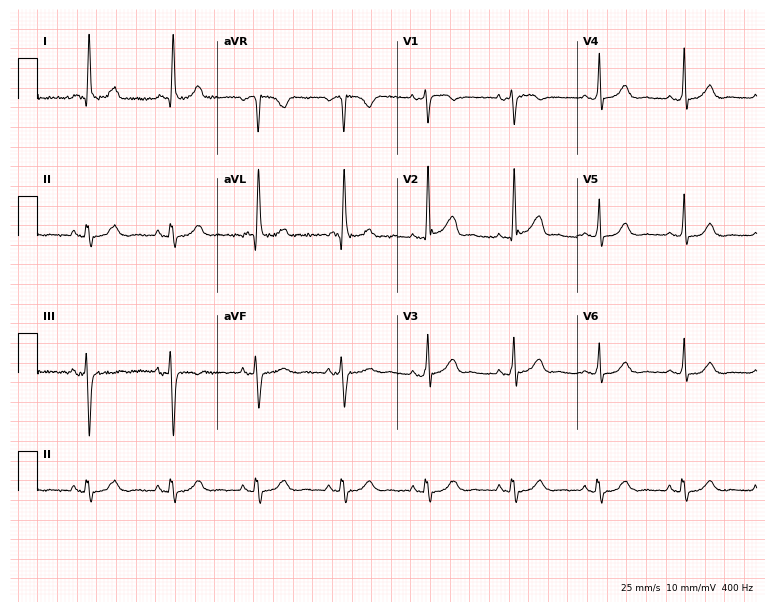
Electrocardiogram, a female patient, 80 years old. Of the six screened findings (first-degree AV block, right bundle branch block, left bundle branch block, sinus bradycardia, atrial fibrillation, sinus tachycardia), none is recorded.